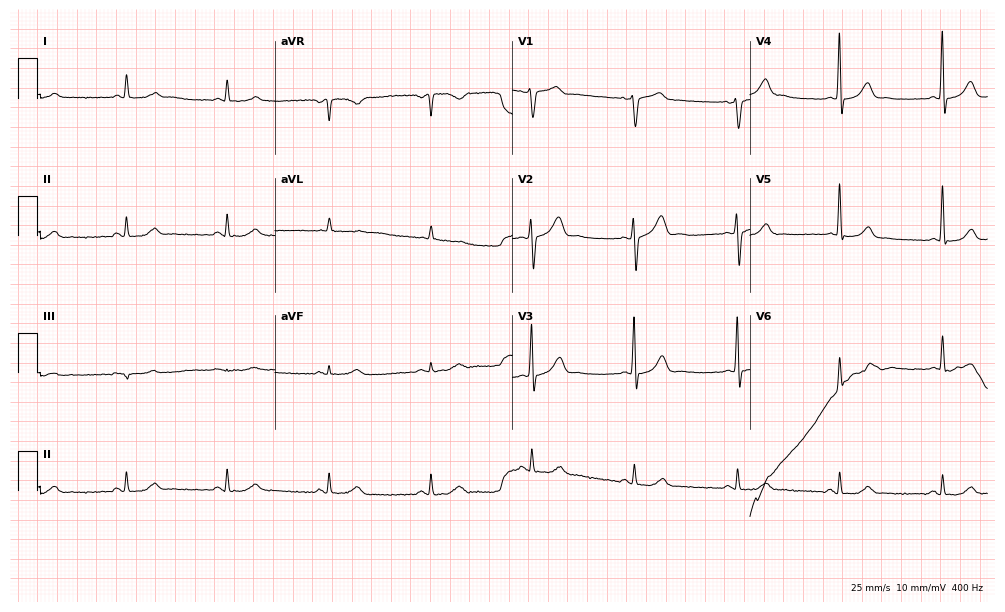
Electrocardiogram (9.7-second recording at 400 Hz), a male patient, 83 years old. Of the six screened findings (first-degree AV block, right bundle branch block, left bundle branch block, sinus bradycardia, atrial fibrillation, sinus tachycardia), none is recorded.